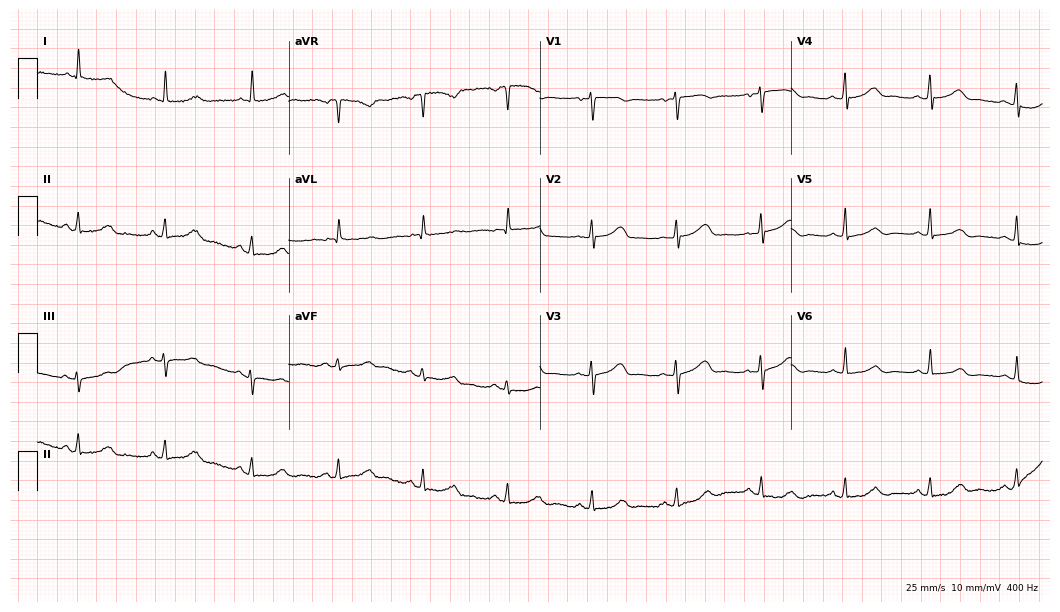
Resting 12-lead electrocardiogram (10.2-second recording at 400 Hz). Patient: a 63-year-old woman. Read as a normal ECG.